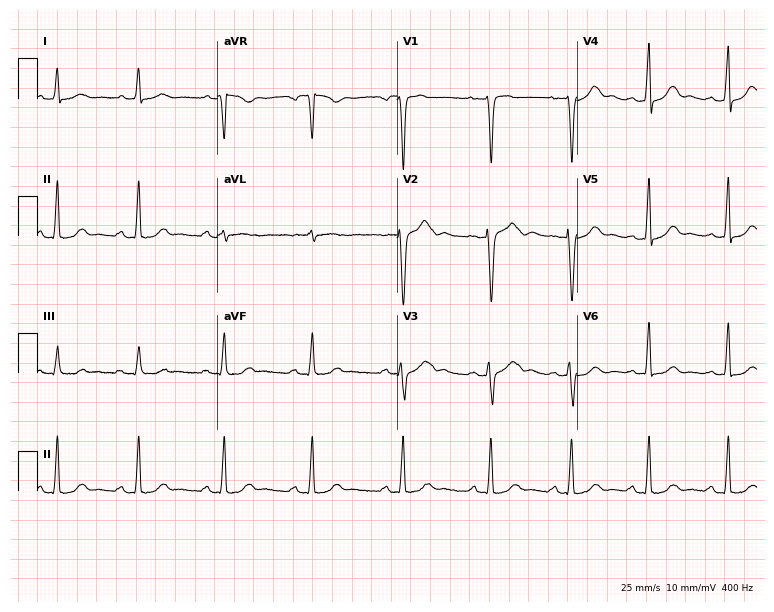
Resting 12-lead electrocardiogram (7.3-second recording at 400 Hz). Patient: a female, 27 years old. Read as a normal ECG.